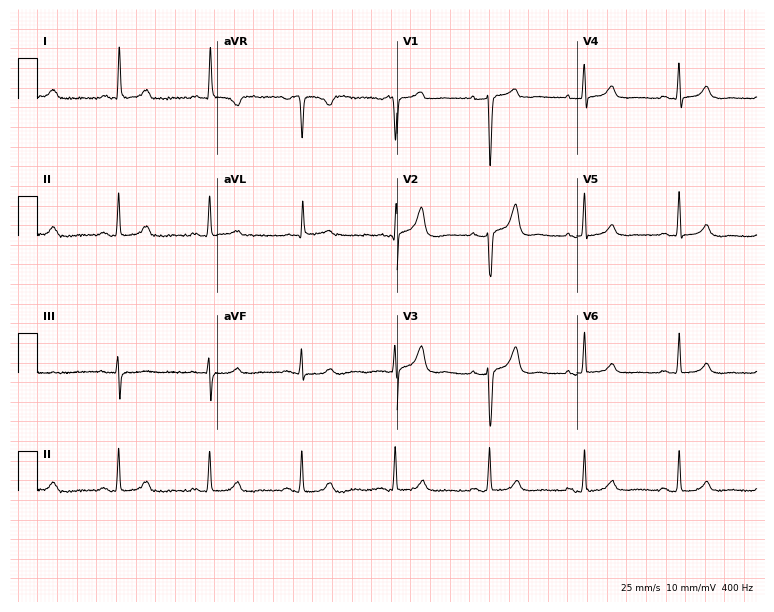
ECG — a female patient, 85 years old. Screened for six findings — first-degree AV block, right bundle branch block, left bundle branch block, sinus bradycardia, atrial fibrillation, sinus tachycardia — none is recorded. Only these six findings were labelled.